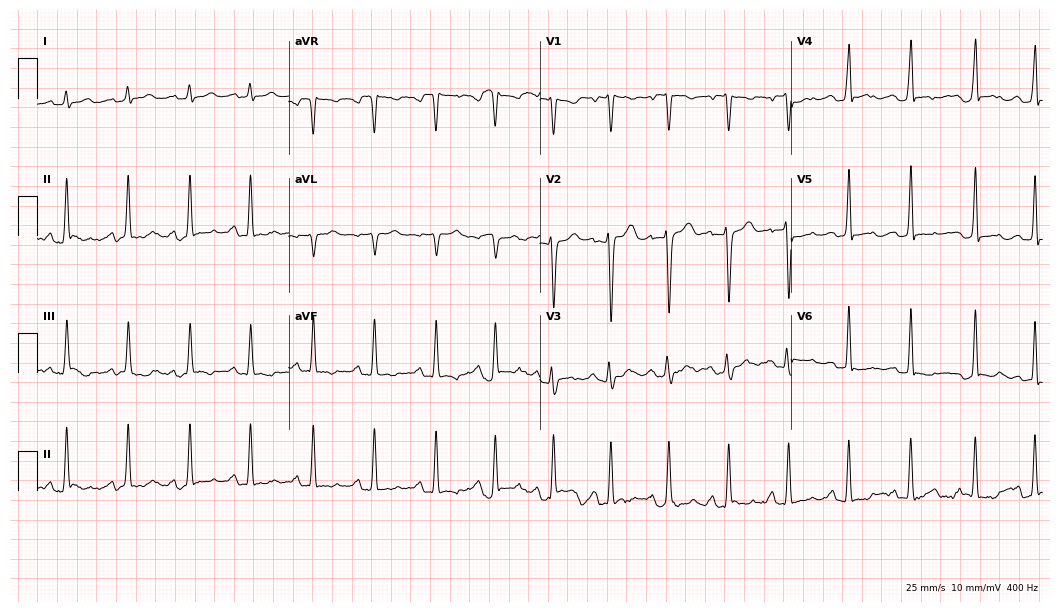
Standard 12-lead ECG recorded from a 20-year-old male. None of these six findings is recorded: first-degree AV block, right bundle branch block, left bundle branch block, sinus bradycardia, atrial fibrillation, sinus tachycardia.